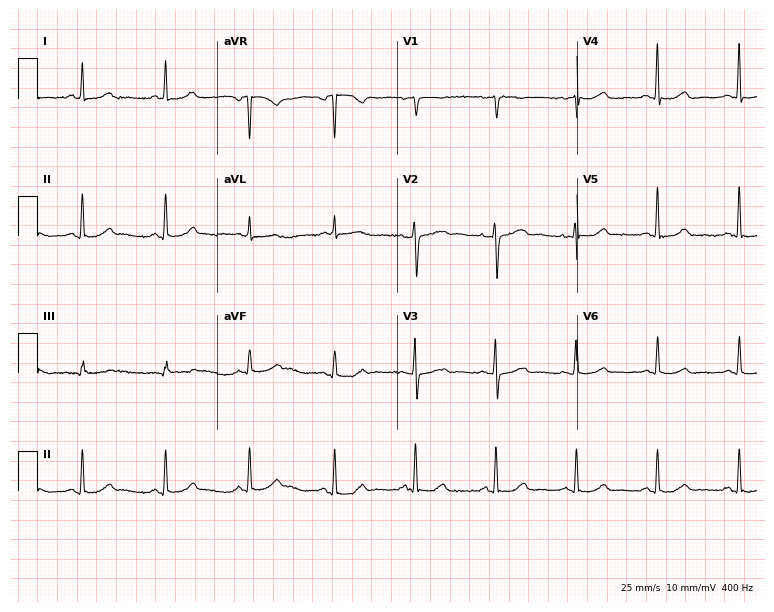
Electrocardiogram (7.3-second recording at 400 Hz), a female, 71 years old. Overall reading on record: normal ECG.